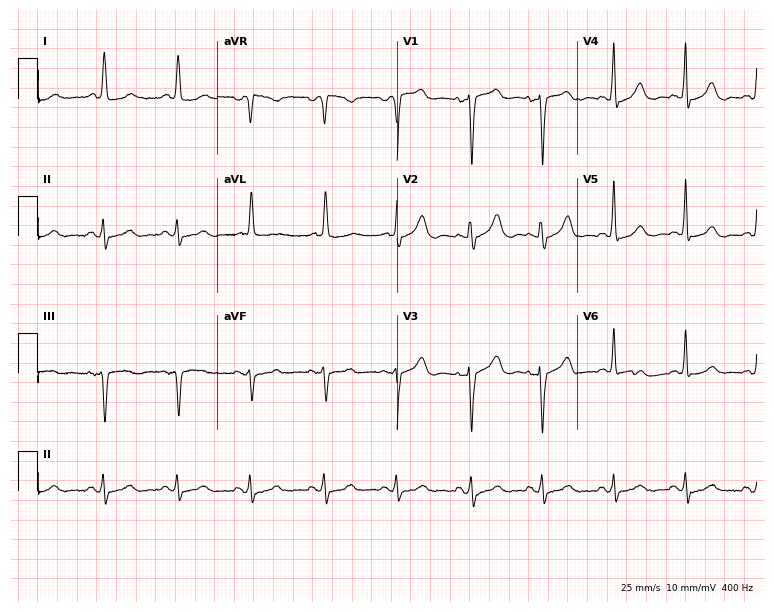
12-lead ECG from an 82-year-old woman. Recorded interpretation: within normal limits.